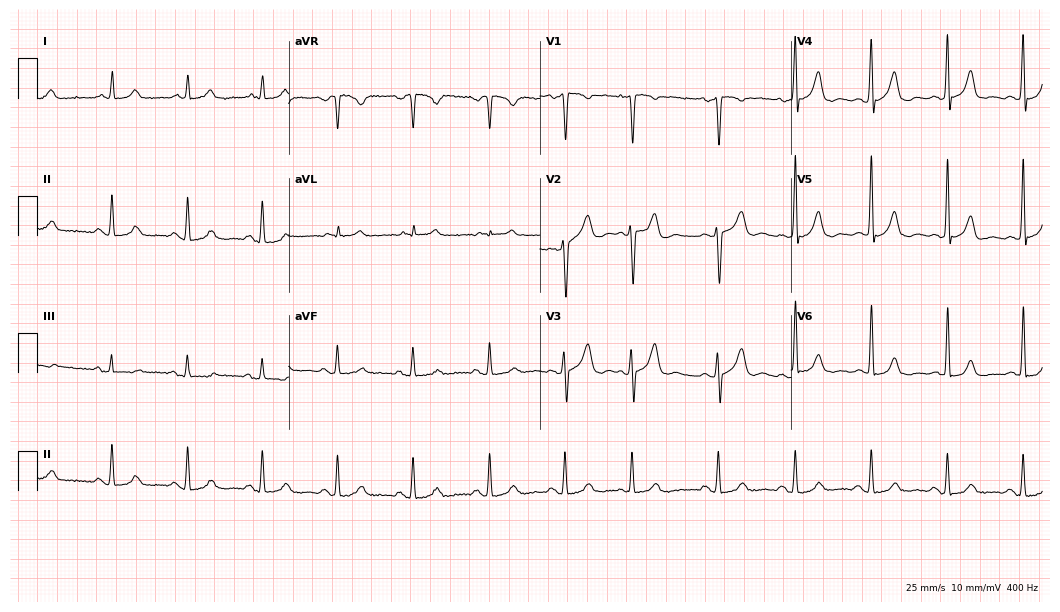
Resting 12-lead electrocardiogram. Patient: a male, 64 years old. Read as a normal ECG.